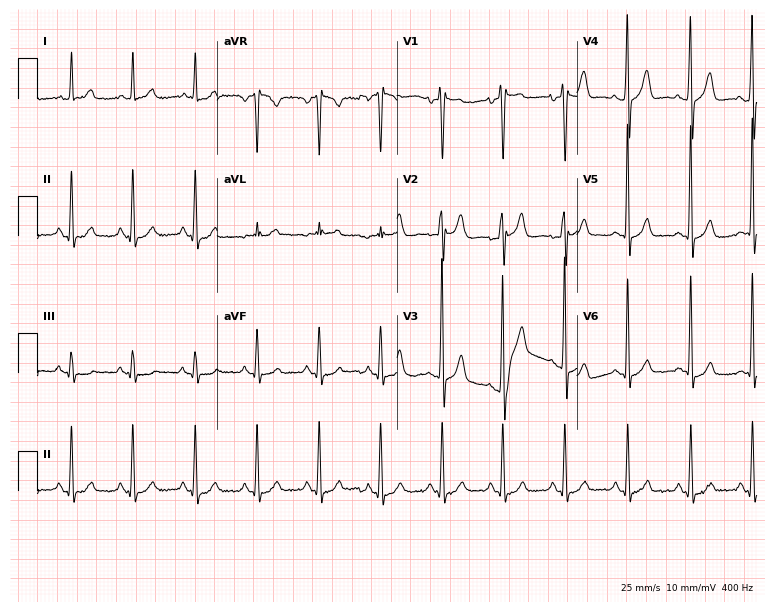
Standard 12-lead ECG recorded from a male, 56 years old. Read as a normal ECG.